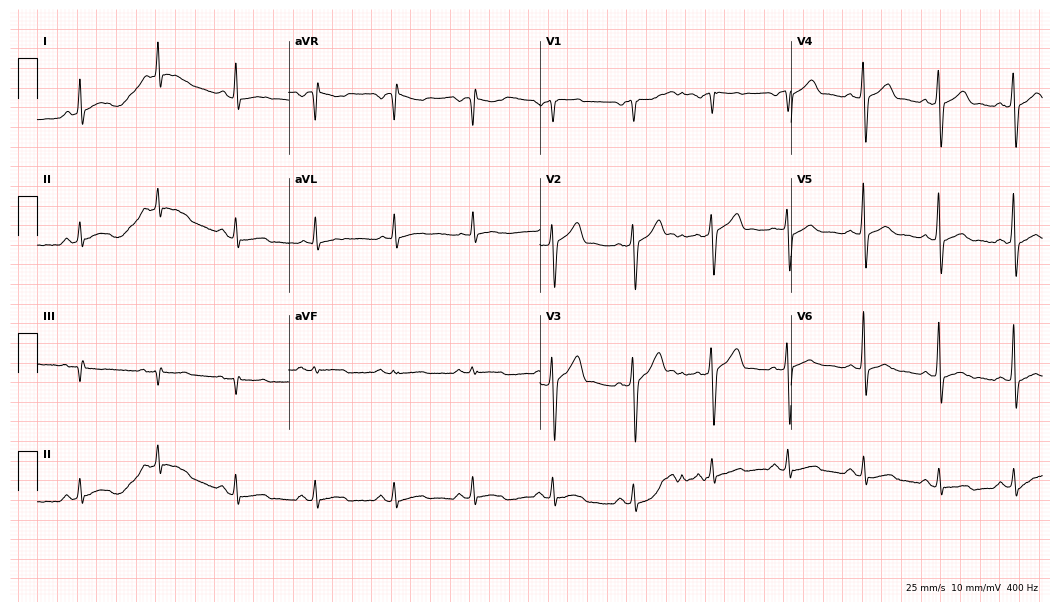
12-lead ECG from a 56-year-old man. No first-degree AV block, right bundle branch block, left bundle branch block, sinus bradycardia, atrial fibrillation or sinus tachycardia recorded for this tracing. Other findings, if any, are not listed.